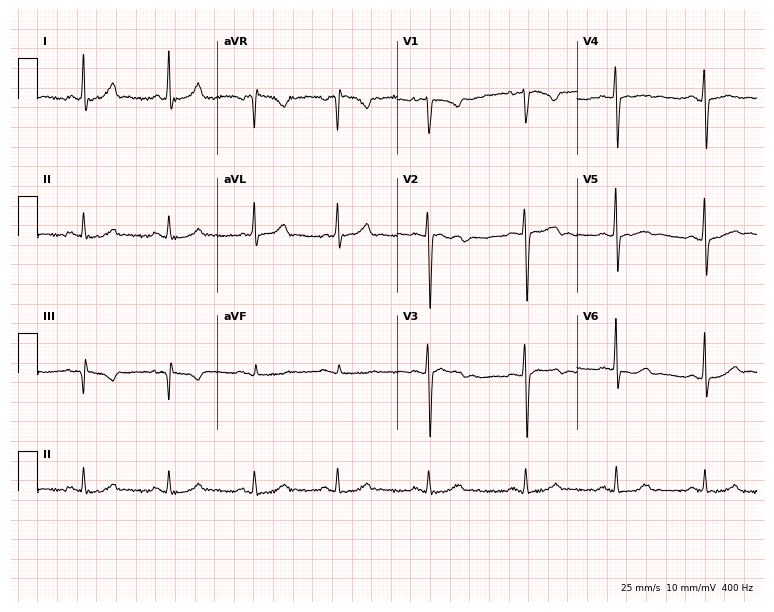
Resting 12-lead electrocardiogram (7.3-second recording at 400 Hz). Patient: a woman, 29 years old. None of these six findings is recorded: first-degree AV block, right bundle branch block, left bundle branch block, sinus bradycardia, atrial fibrillation, sinus tachycardia. Only these six findings were labelled.